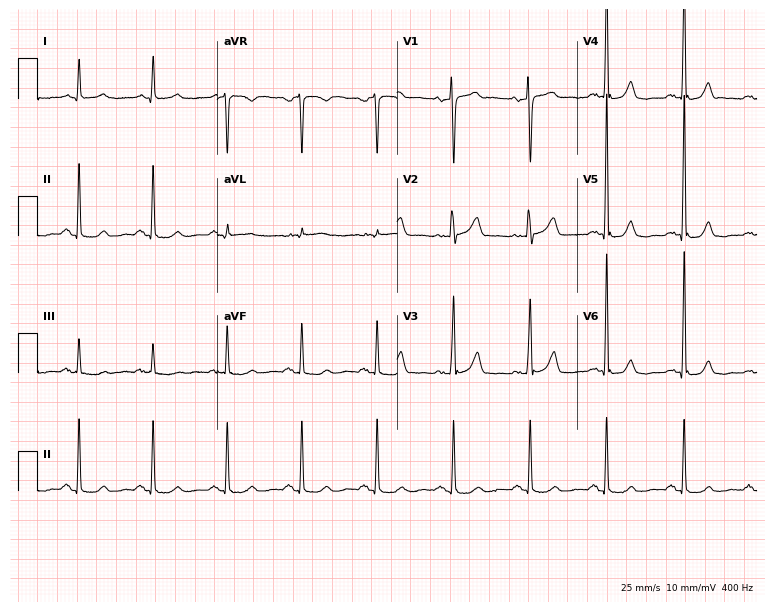
12-lead ECG (7.3-second recording at 400 Hz) from a 68-year-old man. Screened for six findings — first-degree AV block, right bundle branch block, left bundle branch block, sinus bradycardia, atrial fibrillation, sinus tachycardia — none is recorded.